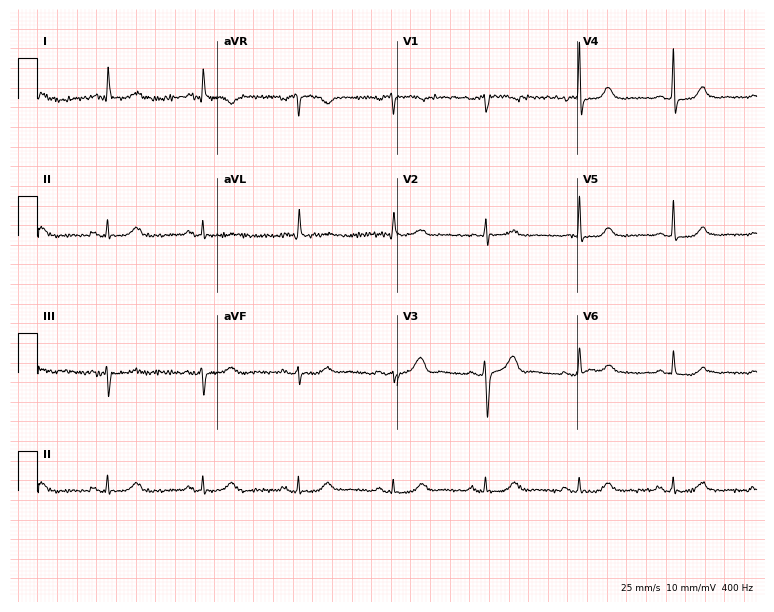
12-lead ECG from a female patient, 69 years old. Recorded interpretation: within normal limits.